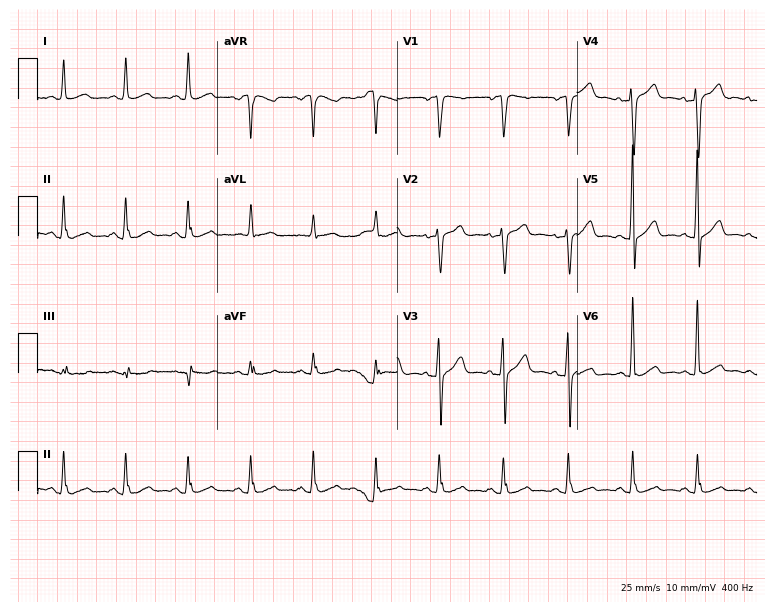
Standard 12-lead ECG recorded from a 47-year-old man (7.3-second recording at 400 Hz). None of these six findings is recorded: first-degree AV block, right bundle branch block (RBBB), left bundle branch block (LBBB), sinus bradycardia, atrial fibrillation (AF), sinus tachycardia.